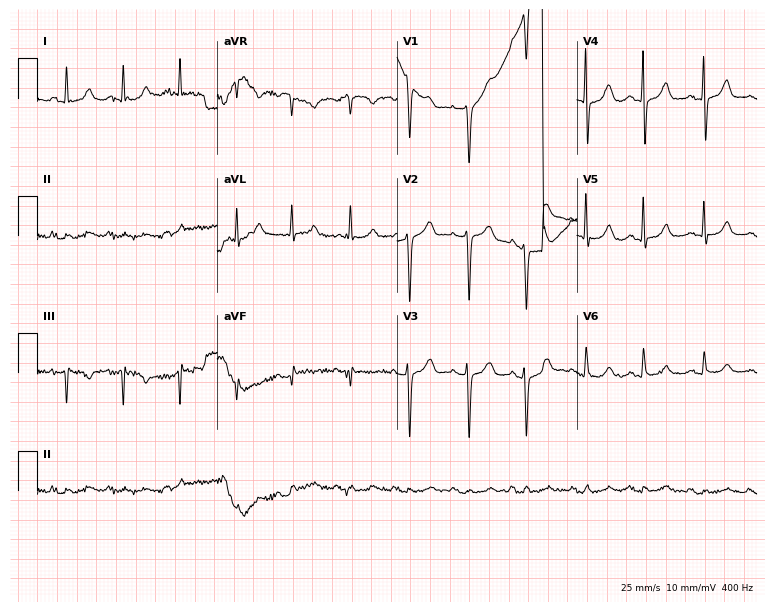
Standard 12-lead ECG recorded from a male patient, 83 years old. None of these six findings is recorded: first-degree AV block, right bundle branch block (RBBB), left bundle branch block (LBBB), sinus bradycardia, atrial fibrillation (AF), sinus tachycardia. Only these six findings were labelled.